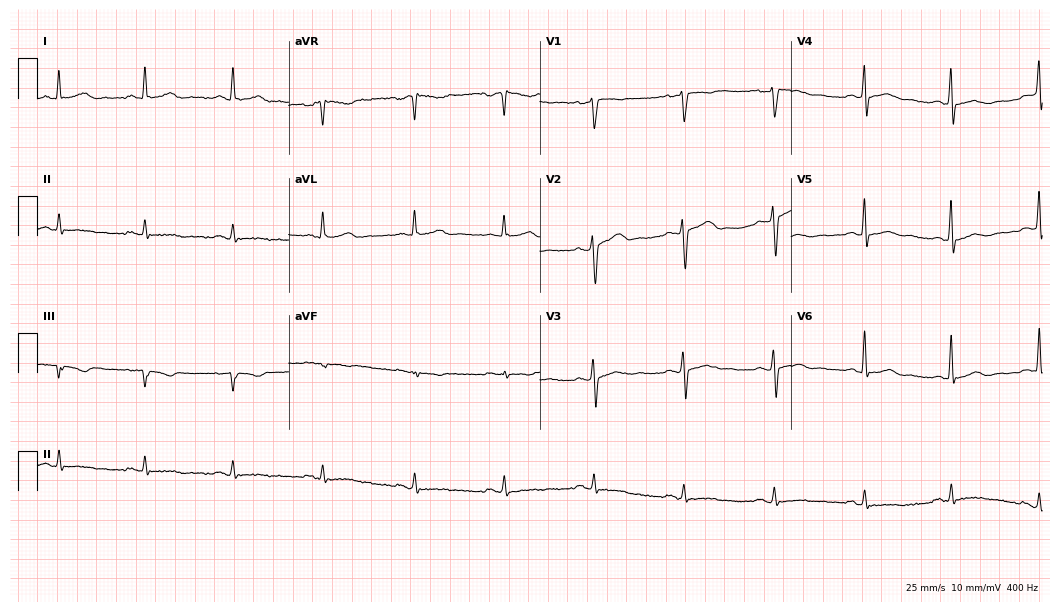
12-lead ECG from a 52-year-old male patient. Screened for six findings — first-degree AV block, right bundle branch block, left bundle branch block, sinus bradycardia, atrial fibrillation, sinus tachycardia — none is recorded. Only these six findings were labelled.